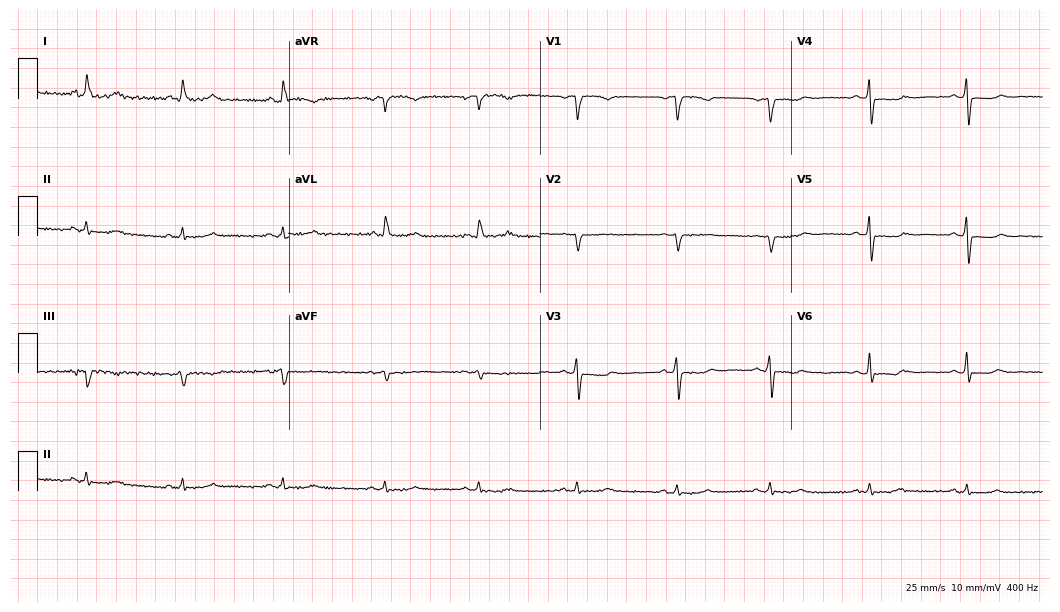
12-lead ECG from a 59-year-old woman. Screened for six findings — first-degree AV block, right bundle branch block, left bundle branch block, sinus bradycardia, atrial fibrillation, sinus tachycardia — none is recorded. Findings outside these six are not listed.